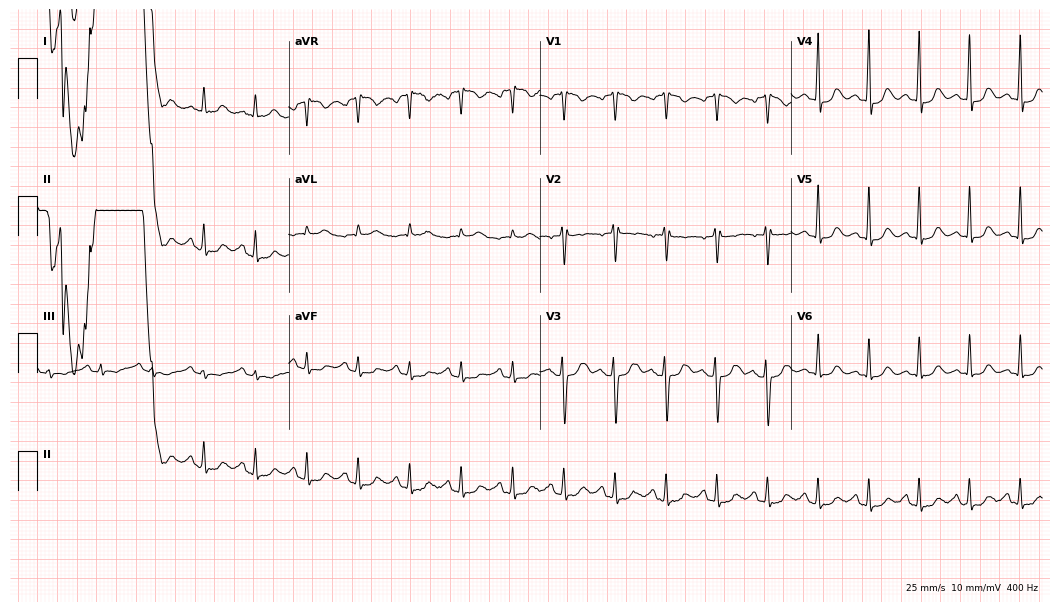
ECG (10.2-second recording at 400 Hz) — a woman, 46 years old. Findings include sinus tachycardia (a sinus rate of 100 beats per minute or more).